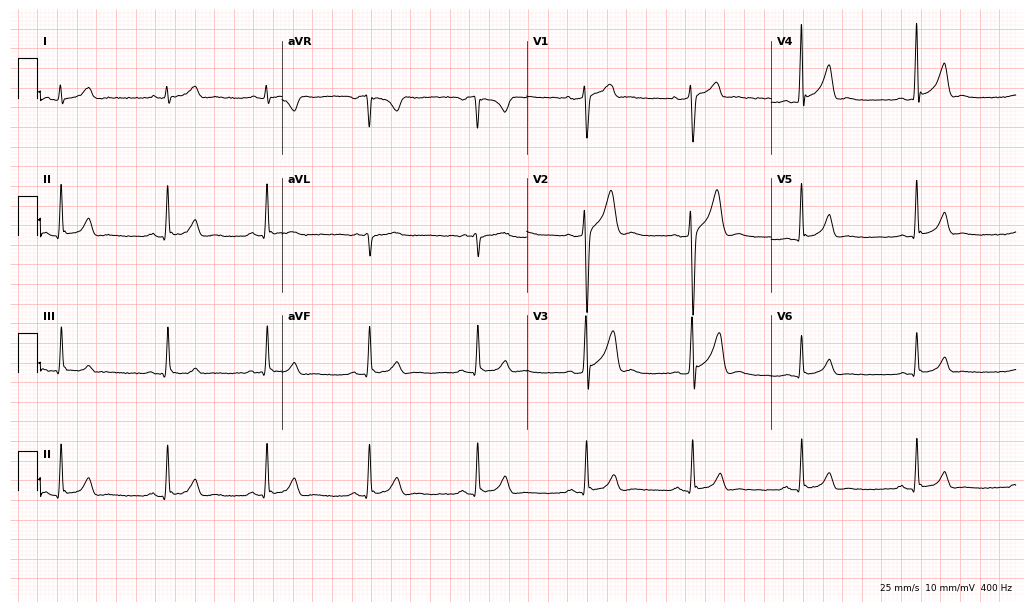
ECG — a 45-year-old male patient. Labelled as a normal ECG.